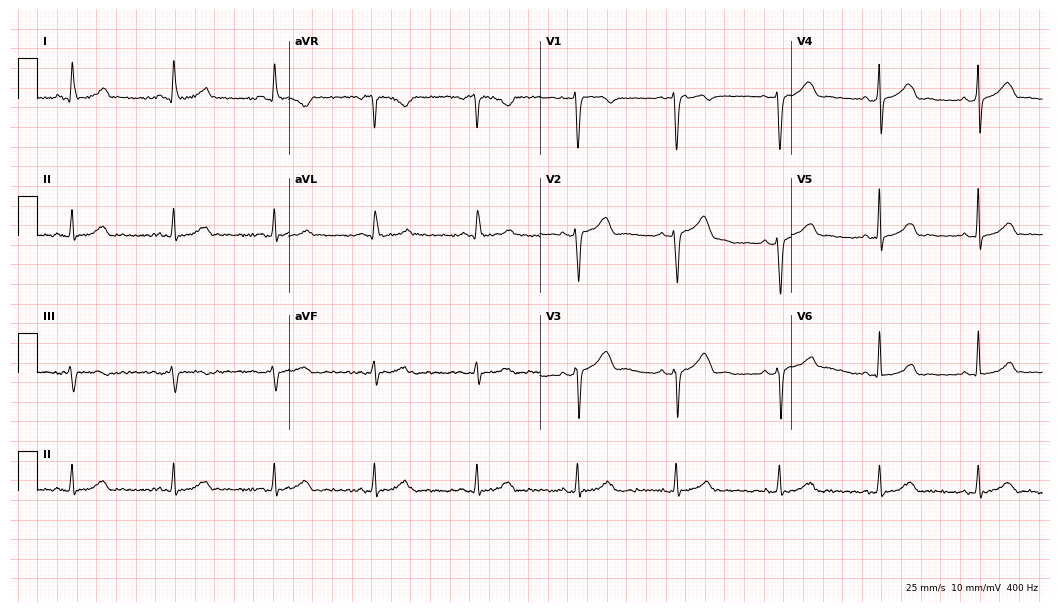
12-lead ECG from a 43-year-old woman. Recorded interpretation: within normal limits.